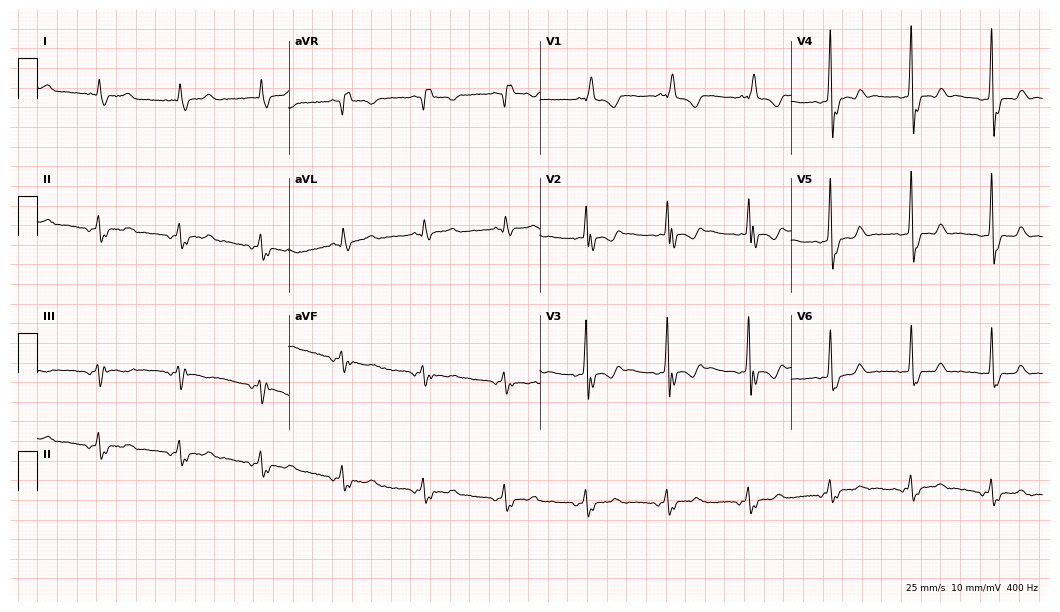
12-lead ECG (10.2-second recording at 400 Hz) from a 77-year-old male patient. Screened for six findings — first-degree AV block, right bundle branch block, left bundle branch block, sinus bradycardia, atrial fibrillation, sinus tachycardia — none is recorded. Only these six findings were labelled.